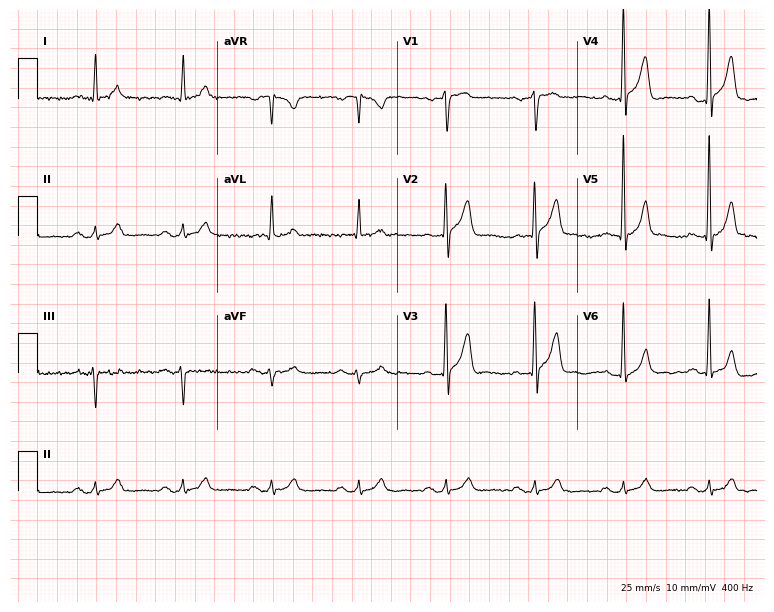
12-lead ECG (7.3-second recording at 400 Hz) from a 54-year-old male patient. Labelled as a normal ECG.